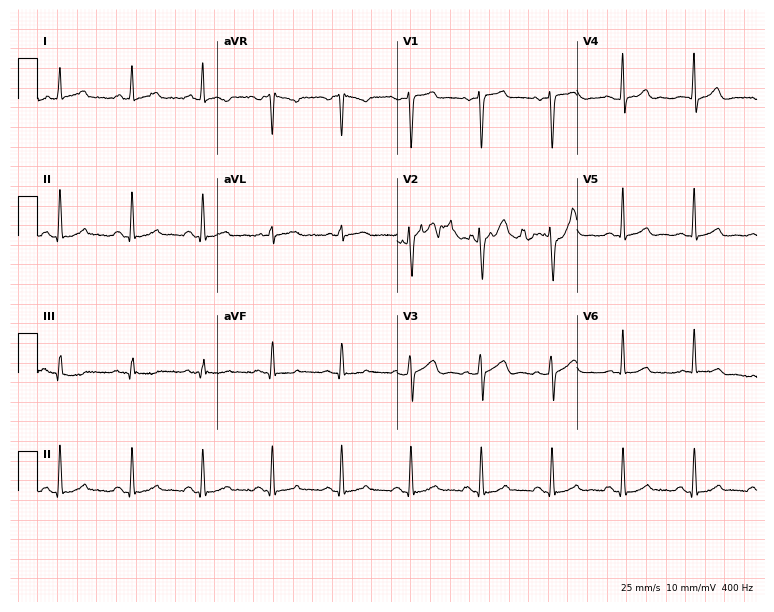
12-lead ECG (7.3-second recording at 400 Hz) from a male patient, 56 years old. Screened for six findings — first-degree AV block, right bundle branch block, left bundle branch block, sinus bradycardia, atrial fibrillation, sinus tachycardia — none is recorded.